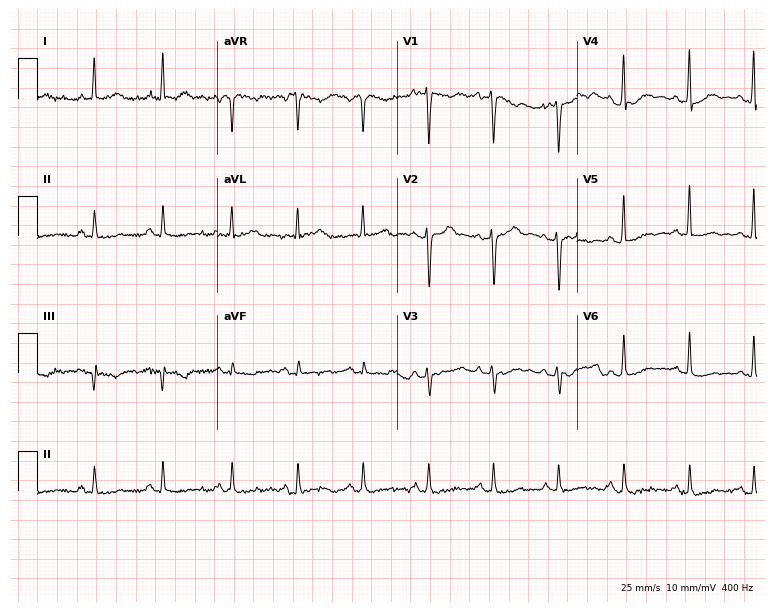
ECG — a 60-year-old man. Screened for six findings — first-degree AV block, right bundle branch block (RBBB), left bundle branch block (LBBB), sinus bradycardia, atrial fibrillation (AF), sinus tachycardia — none is recorded.